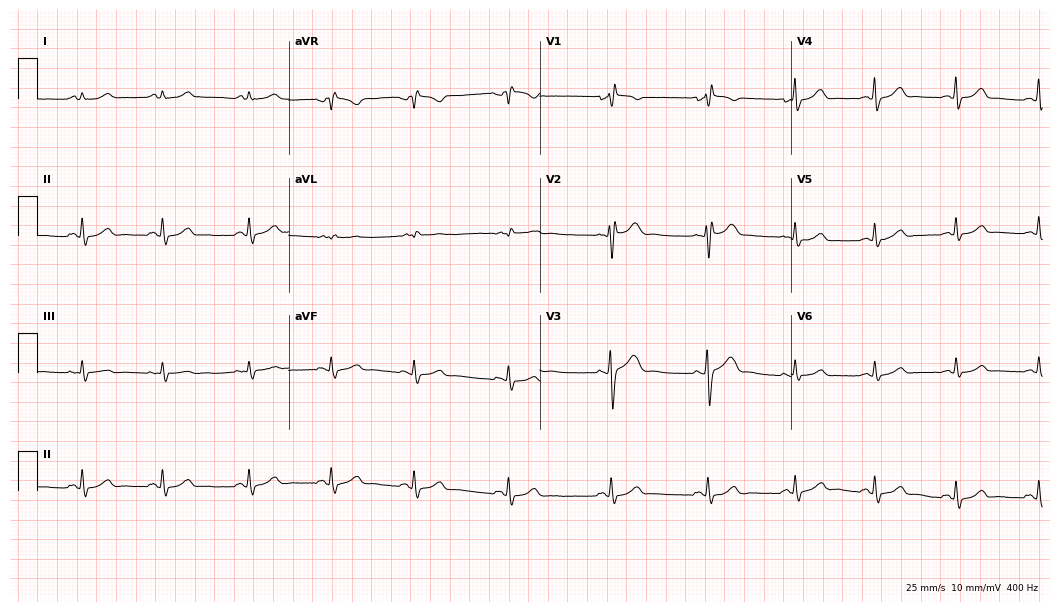
Standard 12-lead ECG recorded from a 38-year-old female patient (10.2-second recording at 400 Hz). None of these six findings is recorded: first-degree AV block, right bundle branch block (RBBB), left bundle branch block (LBBB), sinus bradycardia, atrial fibrillation (AF), sinus tachycardia.